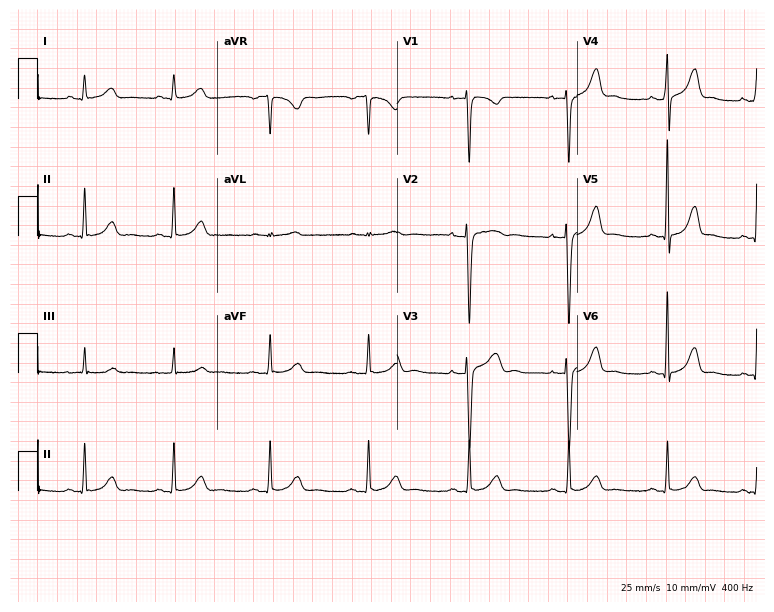
12-lead ECG from a woman, 26 years old. Screened for six findings — first-degree AV block, right bundle branch block, left bundle branch block, sinus bradycardia, atrial fibrillation, sinus tachycardia — none is recorded.